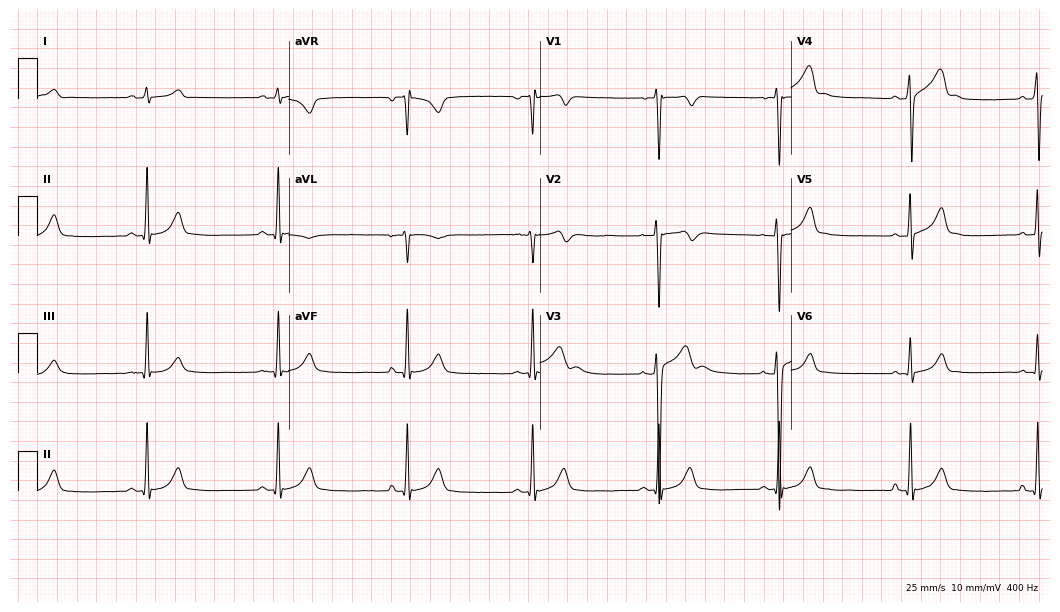
ECG — a 22-year-old male. Findings include sinus bradycardia (a sinus rate of 50 beats per minute or less).